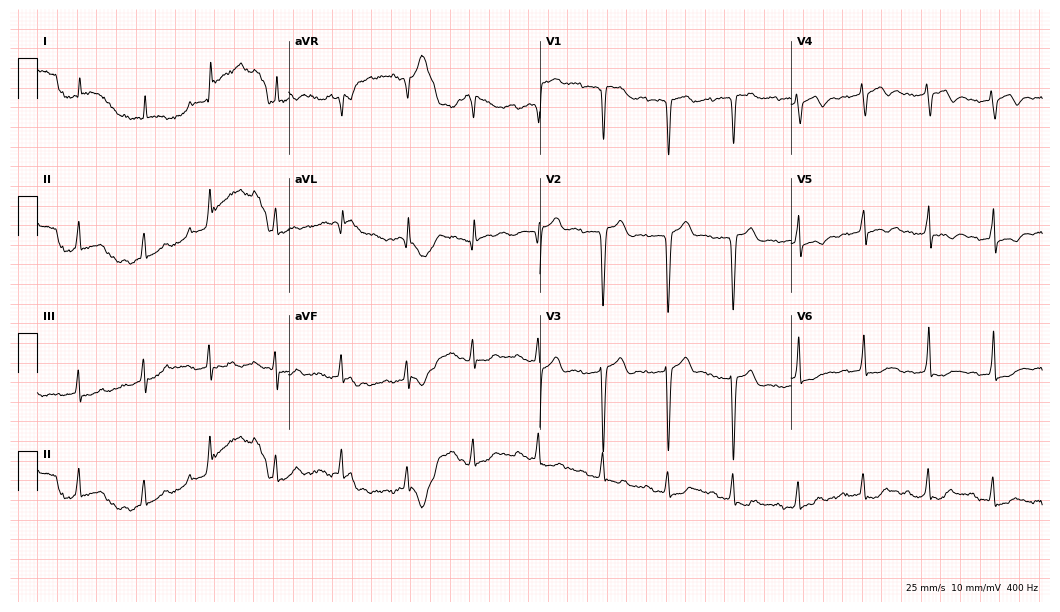
Resting 12-lead electrocardiogram. Patient: a woman, 85 years old. None of these six findings is recorded: first-degree AV block, right bundle branch block, left bundle branch block, sinus bradycardia, atrial fibrillation, sinus tachycardia. Other findings, if any, are not listed.